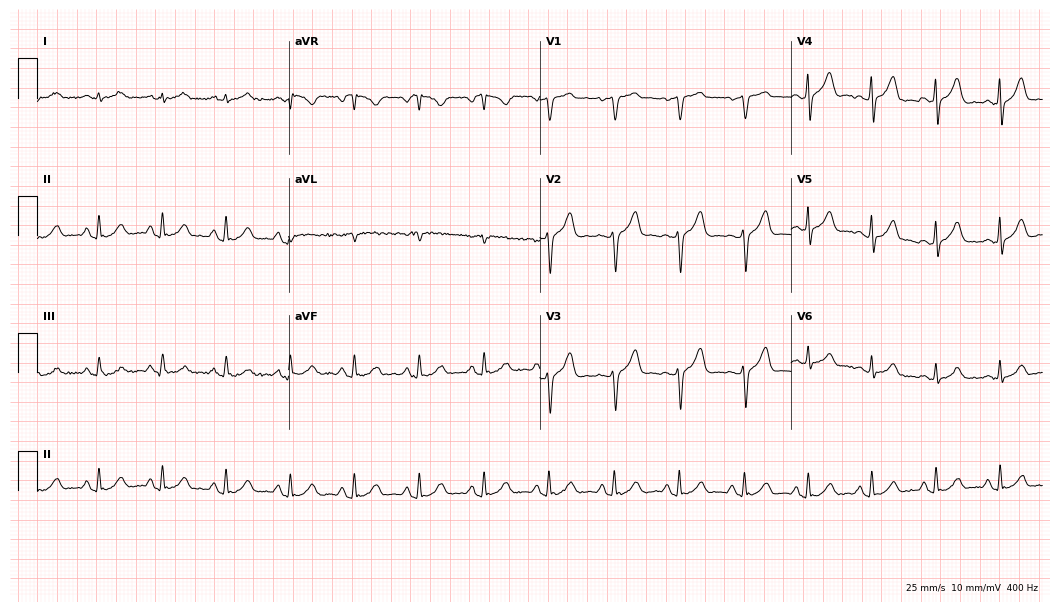
Resting 12-lead electrocardiogram. Patient: a 66-year-old man. Read as a normal ECG.